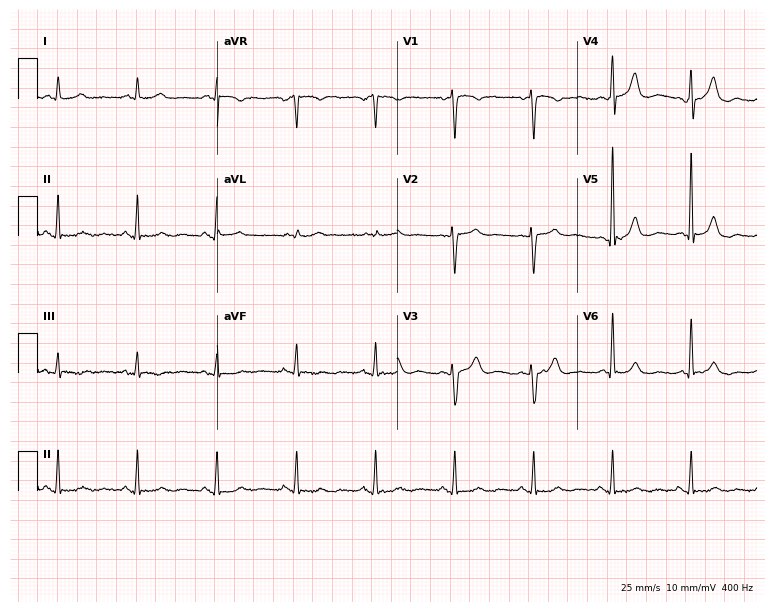
ECG (7.3-second recording at 400 Hz) — a man, 63 years old. Screened for six findings — first-degree AV block, right bundle branch block, left bundle branch block, sinus bradycardia, atrial fibrillation, sinus tachycardia — none is recorded.